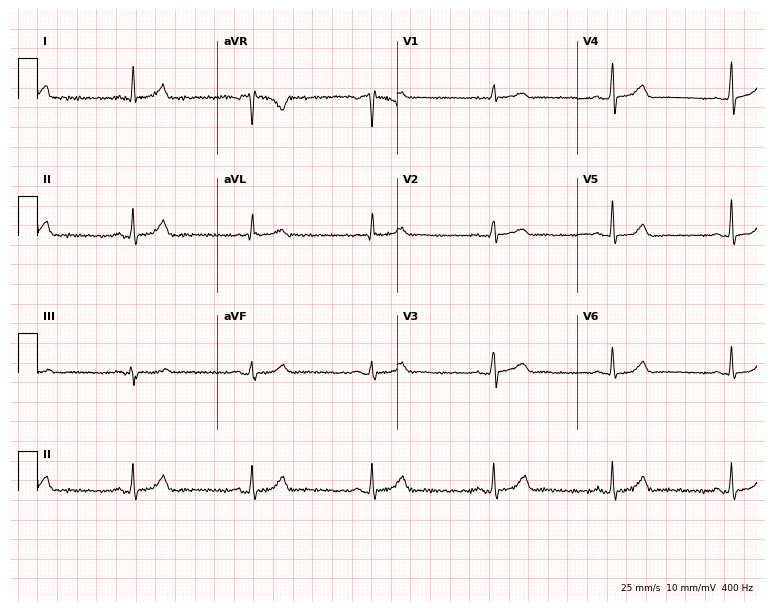
Resting 12-lead electrocardiogram. Patient: a woman, 55 years old. The tracing shows sinus bradycardia (a sinus rate of 50 beats per minute or less).